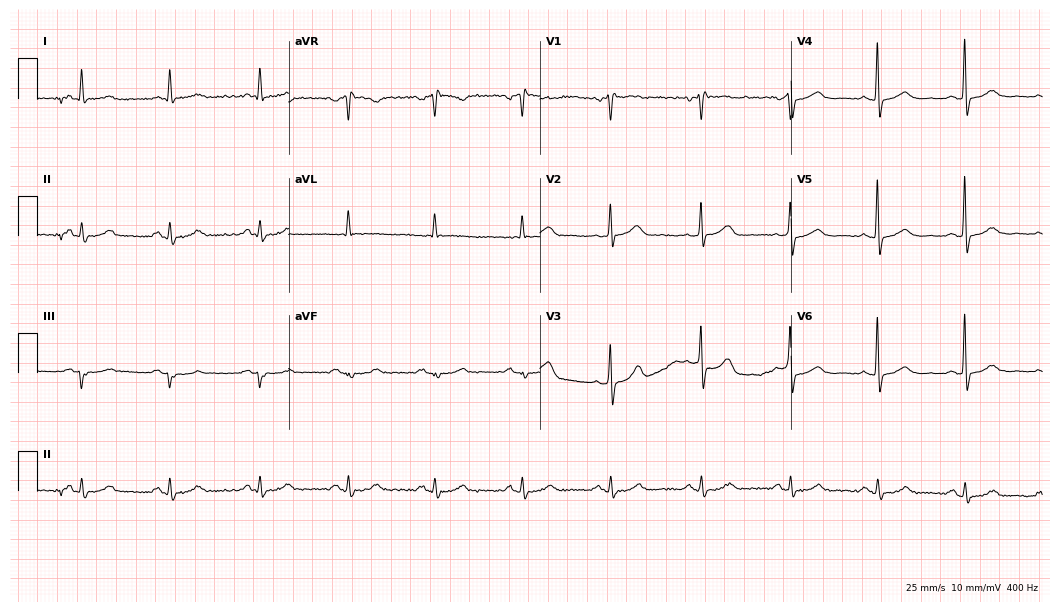
Standard 12-lead ECG recorded from a man, 59 years old (10.2-second recording at 400 Hz). None of these six findings is recorded: first-degree AV block, right bundle branch block (RBBB), left bundle branch block (LBBB), sinus bradycardia, atrial fibrillation (AF), sinus tachycardia.